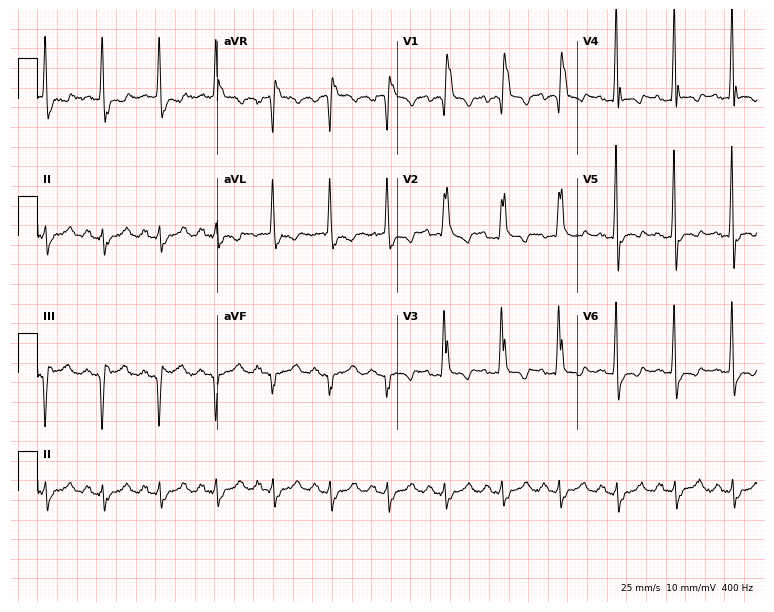
ECG (7.3-second recording at 400 Hz) — a 71-year-old woman. Findings include right bundle branch block (RBBB), sinus tachycardia (a sinus rate of 100 beats per minute or more).